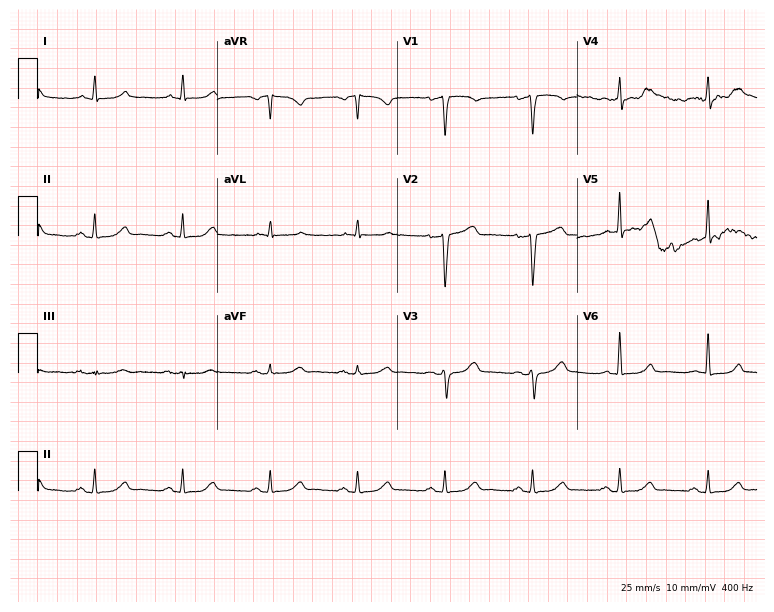
Standard 12-lead ECG recorded from a female patient, 57 years old. Read as a normal ECG.